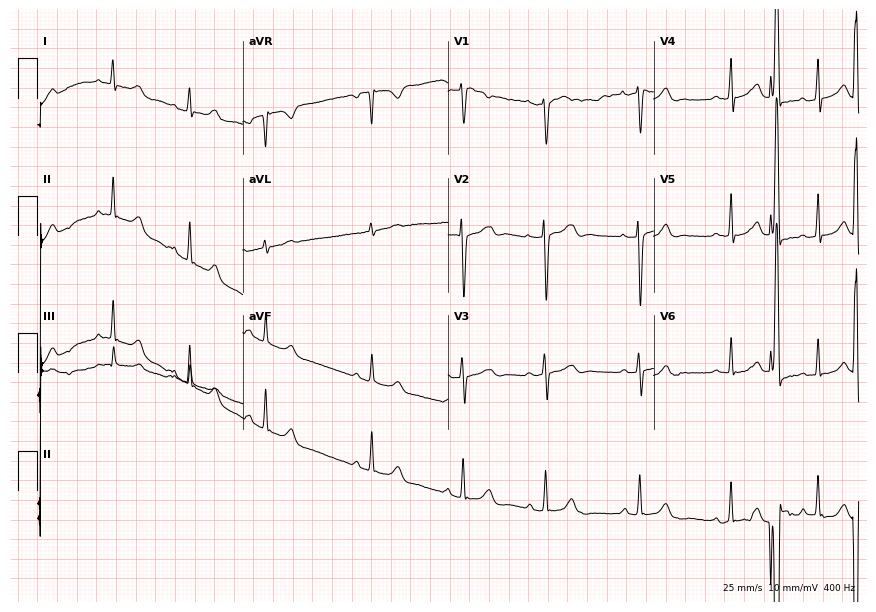
Resting 12-lead electrocardiogram. Patient: a 17-year-old woman. Read as a normal ECG.